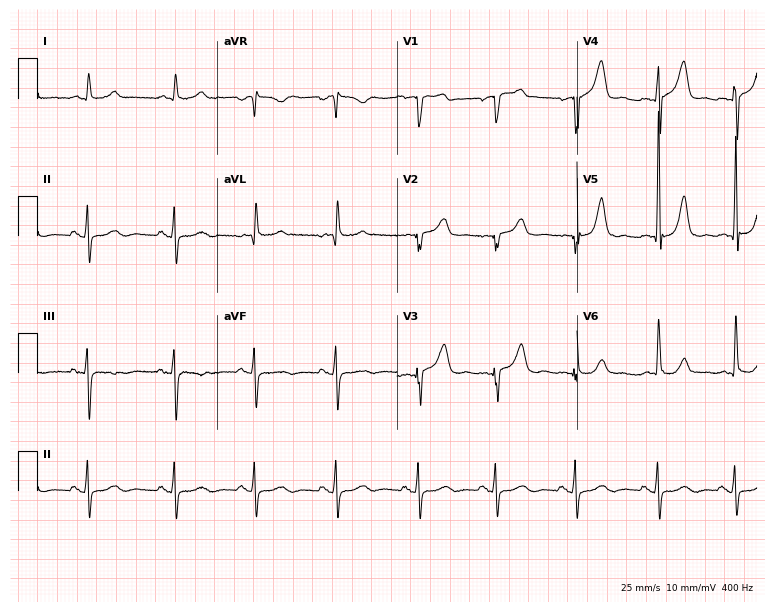
12-lead ECG from a 63-year-old male patient. Recorded interpretation: within normal limits.